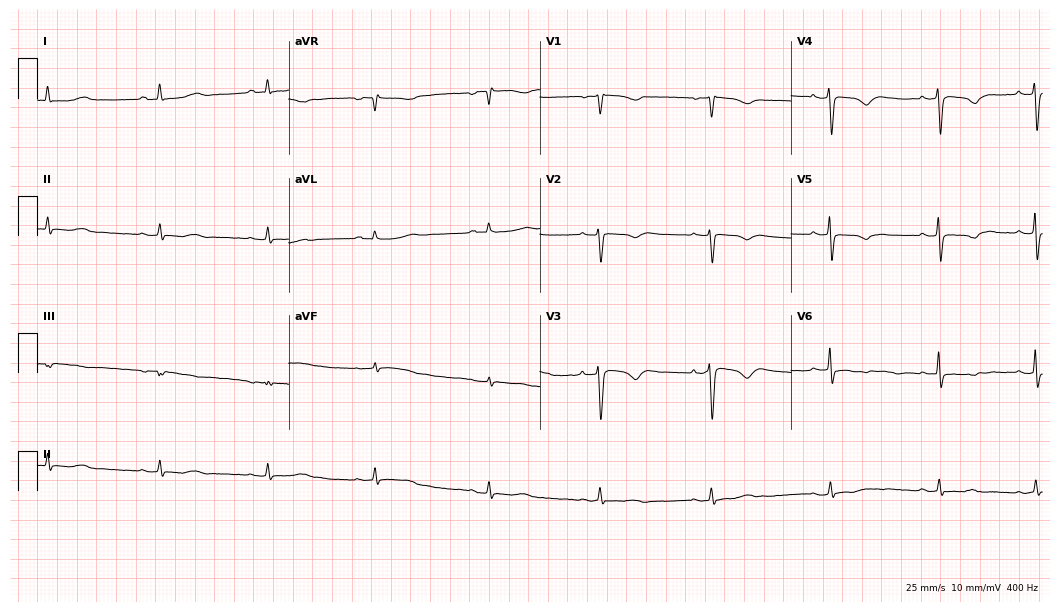
ECG — a 58-year-old female patient. Screened for six findings — first-degree AV block, right bundle branch block, left bundle branch block, sinus bradycardia, atrial fibrillation, sinus tachycardia — none is recorded. Other findings, if any, are not listed.